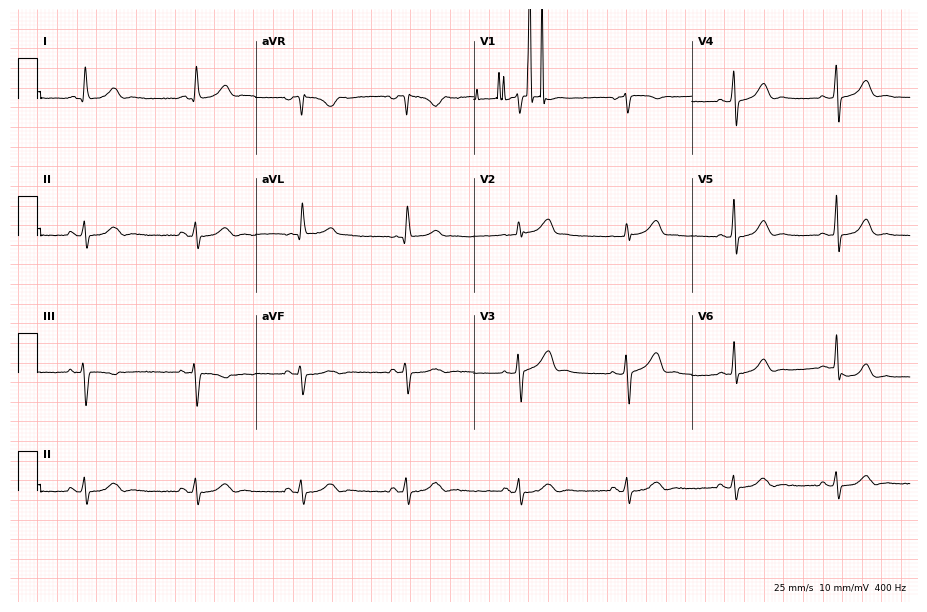
ECG — a female, 58 years old. Screened for six findings — first-degree AV block, right bundle branch block, left bundle branch block, sinus bradycardia, atrial fibrillation, sinus tachycardia — none is recorded.